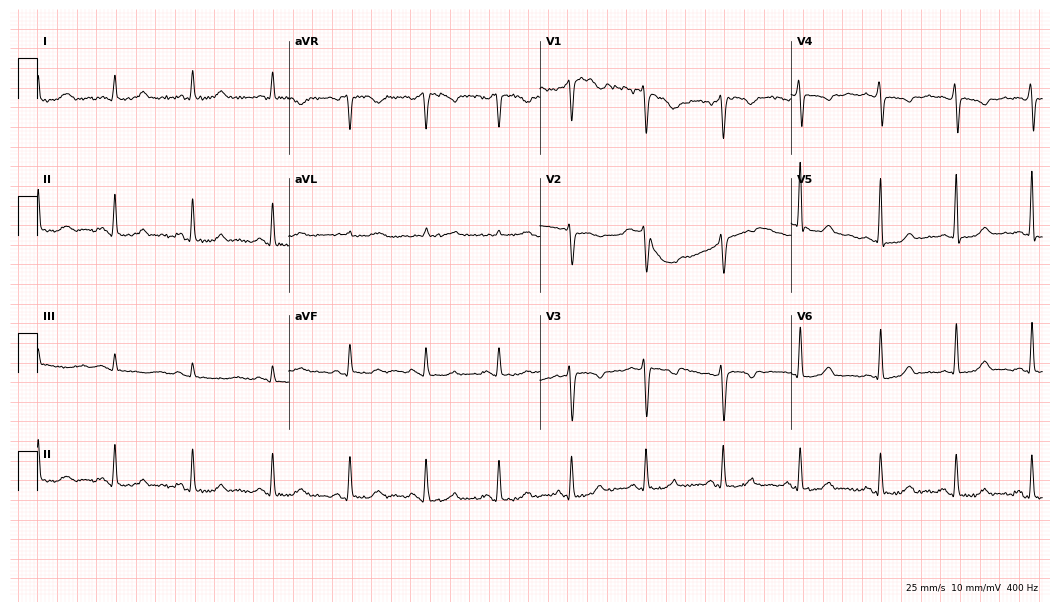
Resting 12-lead electrocardiogram (10.2-second recording at 400 Hz). Patient: a 54-year-old woman. Read as a normal ECG.